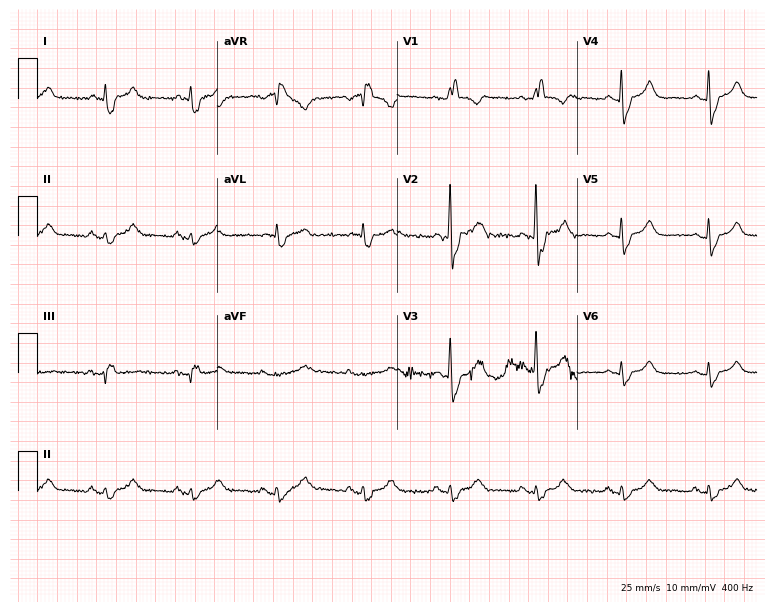
12-lead ECG (7.3-second recording at 400 Hz) from a male patient, 70 years old. Findings include right bundle branch block.